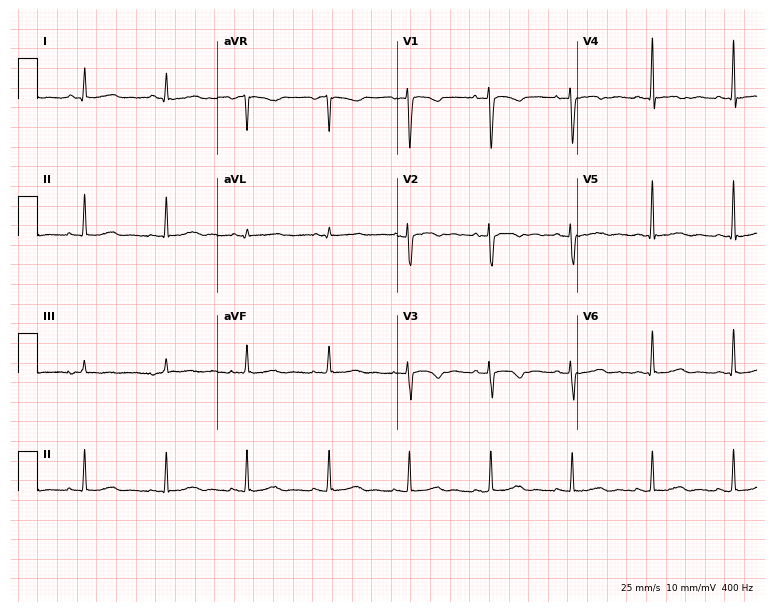
Resting 12-lead electrocardiogram. Patient: a 33-year-old female. None of these six findings is recorded: first-degree AV block, right bundle branch block, left bundle branch block, sinus bradycardia, atrial fibrillation, sinus tachycardia. Only these six findings were labelled.